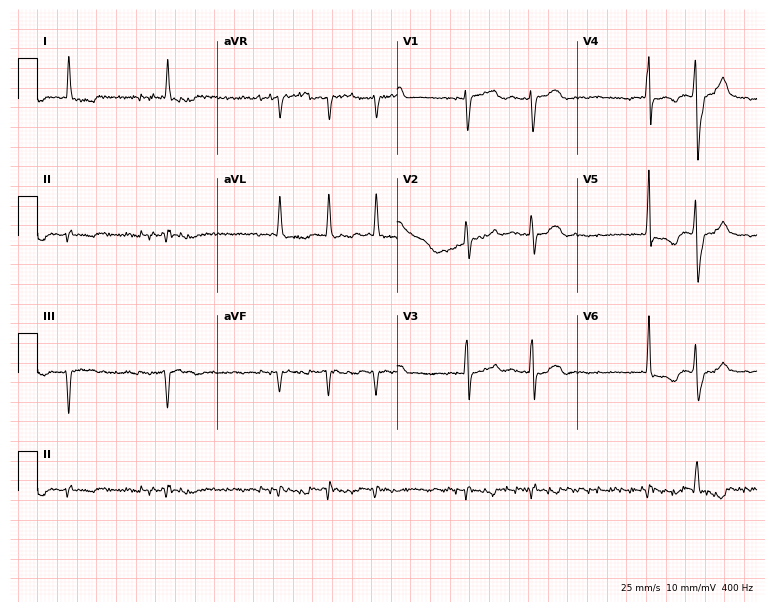
ECG (7.3-second recording at 400 Hz) — a male patient, 79 years old. Findings include atrial fibrillation (AF).